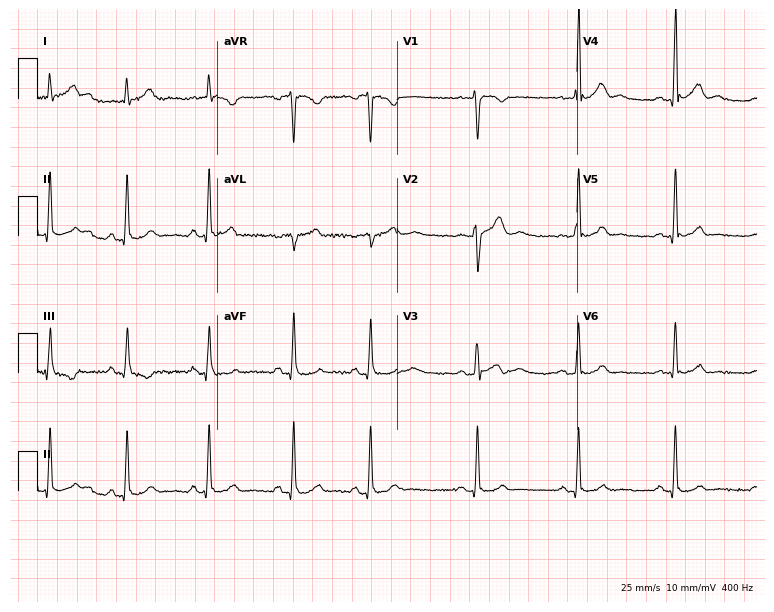
Standard 12-lead ECG recorded from a 37-year-old man. None of these six findings is recorded: first-degree AV block, right bundle branch block, left bundle branch block, sinus bradycardia, atrial fibrillation, sinus tachycardia. Only these six findings were labelled.